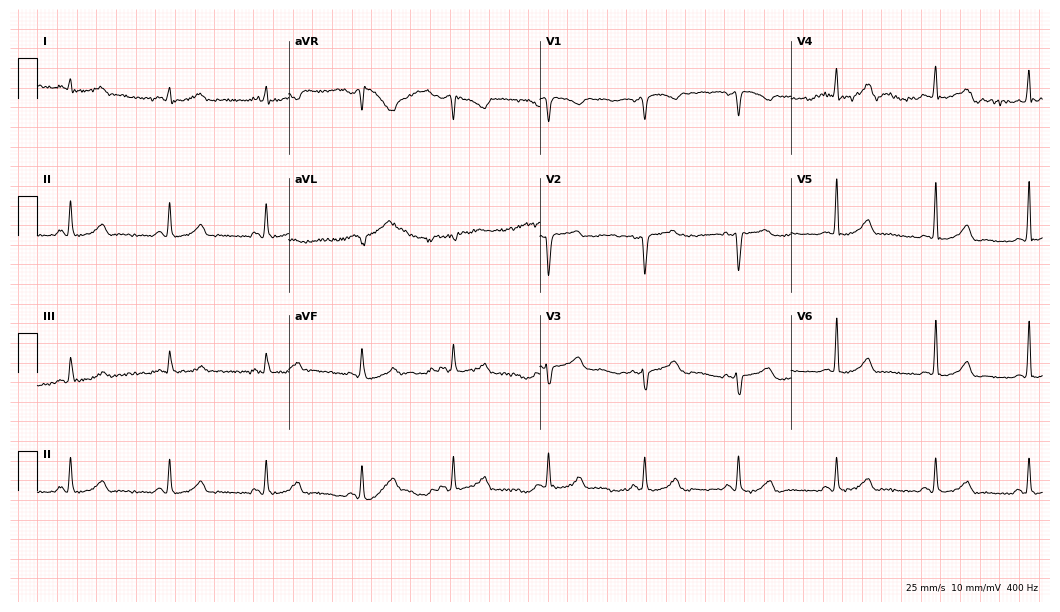
ECG (10.2-second recording at 400 Hz) — a female, 54 years old. Labelled as a normal ECG.